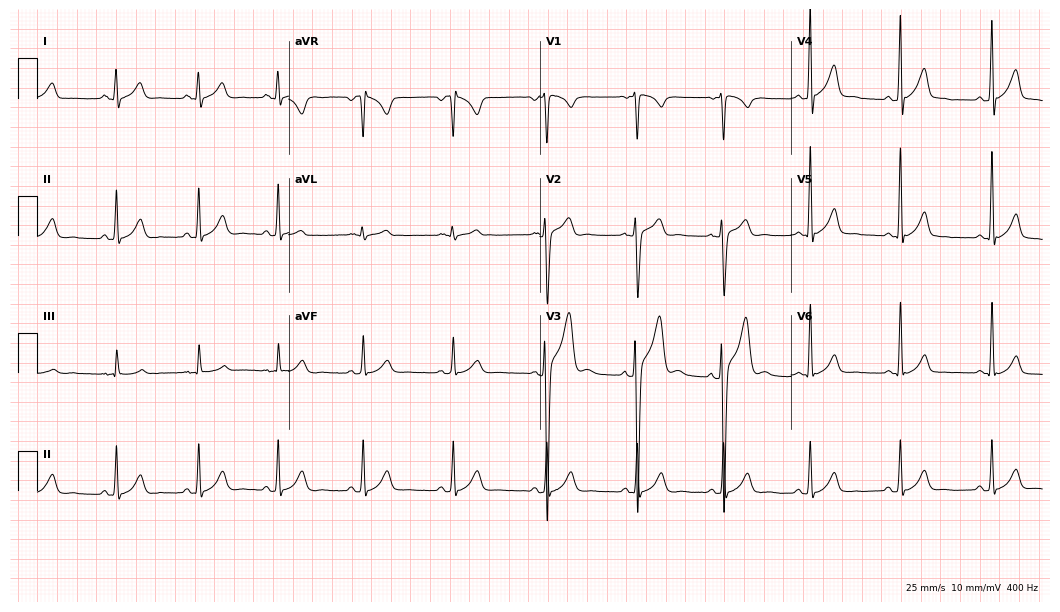
12-lead ECG from a 26-year-old male (10.2-second recording at 400 Hz). Recorded interpretation: within normal limits.